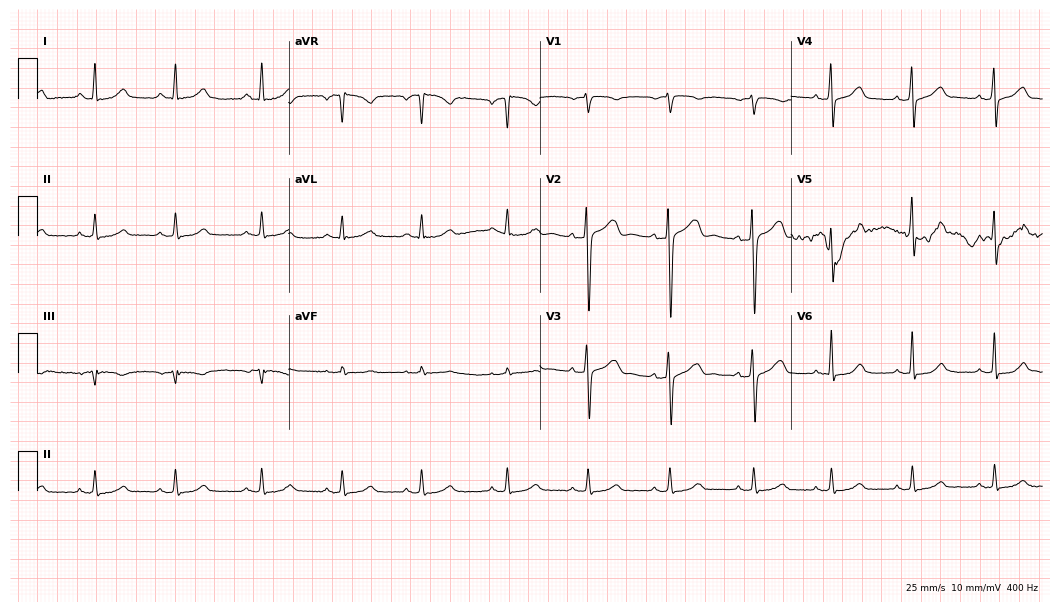
ECG (10.2-second recording at 400 Hz) — a female patient, 40 years old. Labelled as a normal ECG.